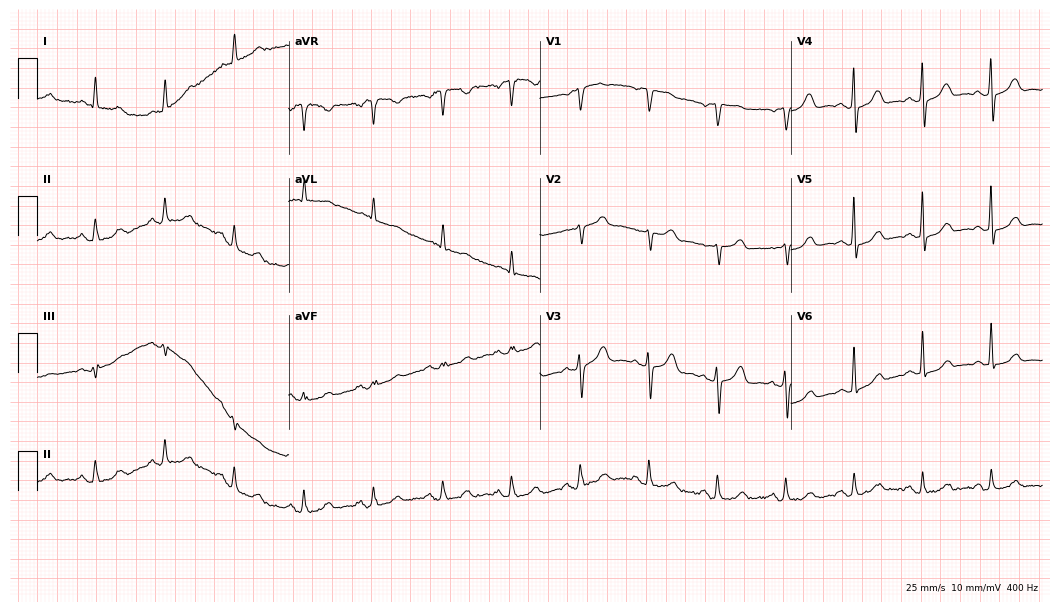
12-lead ECG from an 80-year-old female patient (10.2-second recording at 400 Hz). Recorded interpretation: within normal limits.